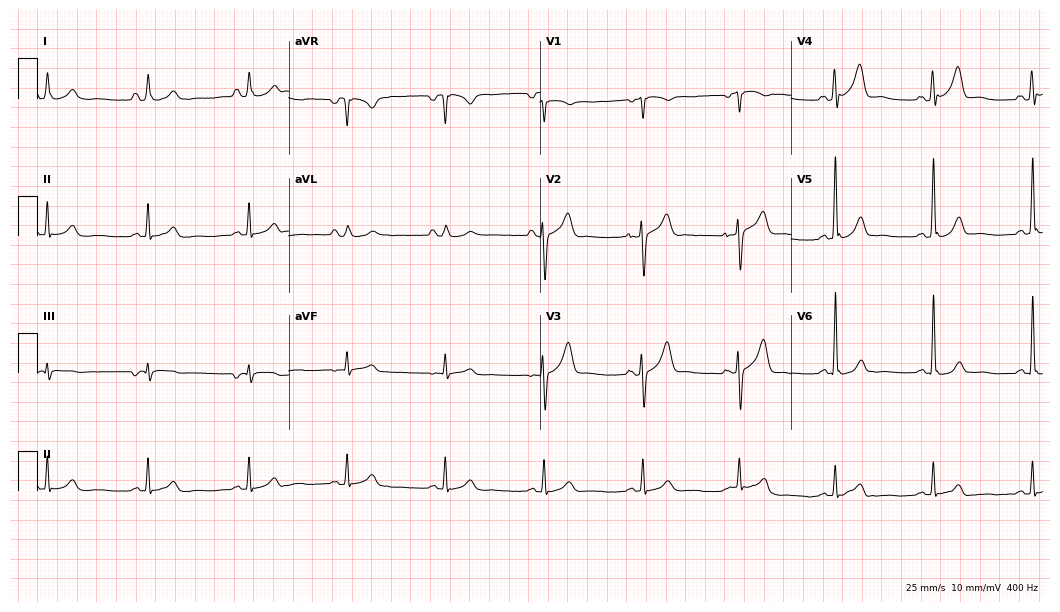
12-lead ECG (10.2-second recording at 400 Hz) from a 39-year-old man. Labelled as a normal ECG.